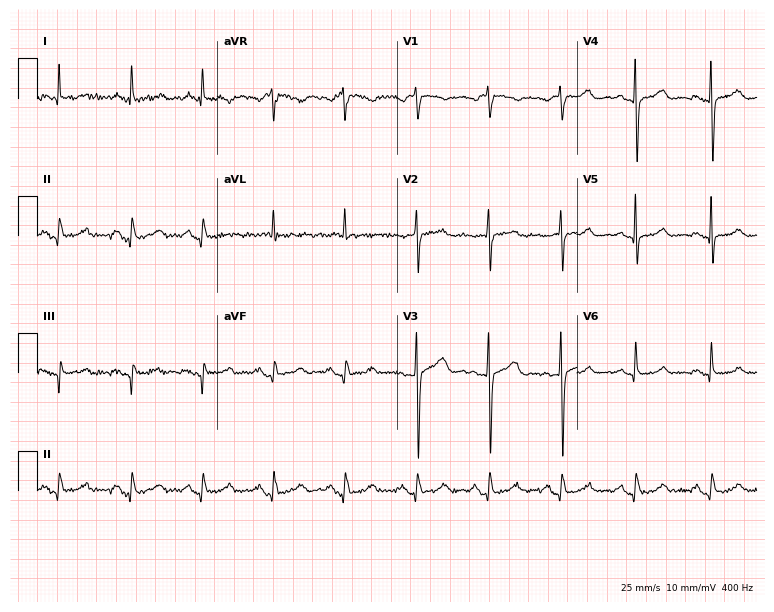
Resting 12-lead electrocardiogram. Patient: a female, 60 years old. None of these six findings is recorded: first-degree AV block, right bundle branch block, left bundle branch block, sinus bradycardia, atrial fibrillation, sinus tachycardia. Other findings, if any, are not listed.